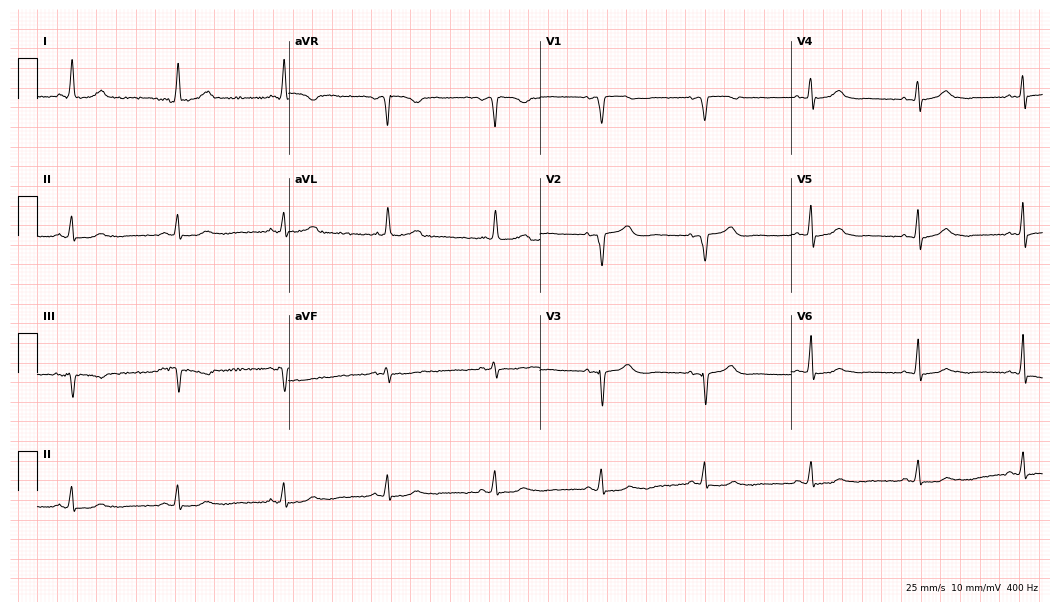
Resting 12-lead electrocardiogram. Patient: a woman, 78 years old. None of these six findings is recorded: first-degree AV block, right bundle branch block, left bundle branch block, sinus bradycardia, atrial fibrillation, sinus tachycardia.